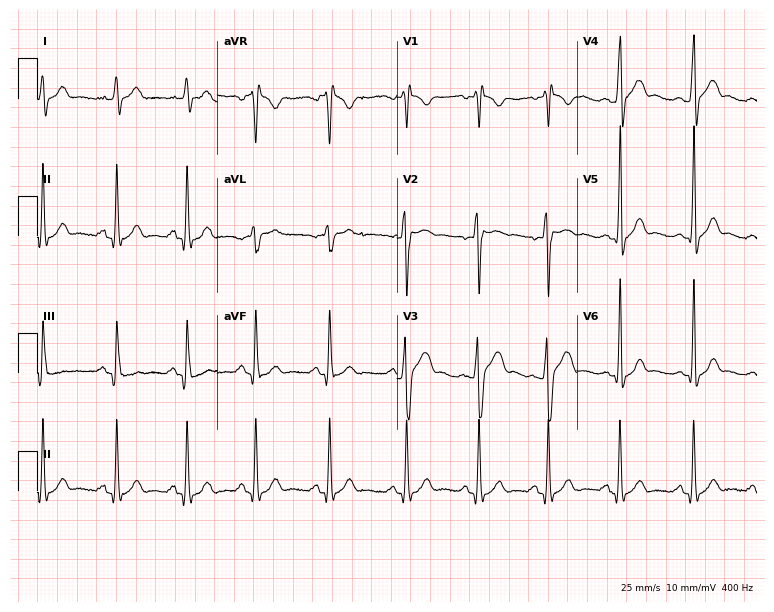
ECG — a 22-year-old male. Screened for six findings — first-degree AV block, right bundle branch block, left bundle branch block, sinus bradycardia, atrial fibrillation, sinus tachycardia — none is recorded. Other findings, if any, are not listed.